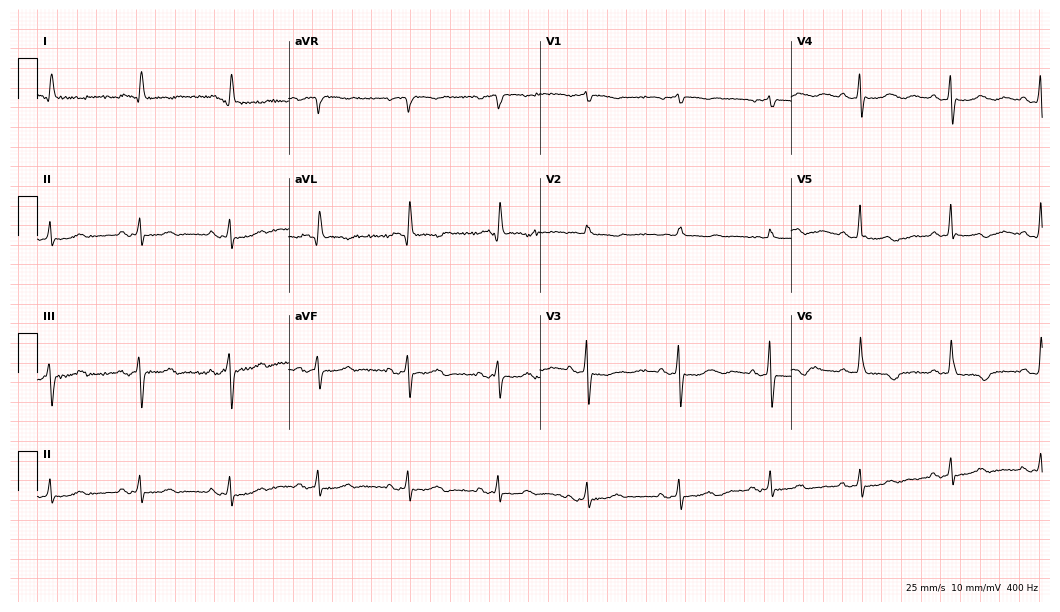
Electrocardiogram, a female, 76 years old. Of the six screened findings (first-degree AV block, right bundle branch block, left bundle branch block, sinus bradycardia, atrial fibrillation, sinus tachycardia), none is recorded. Other findings, if any, are not listed.